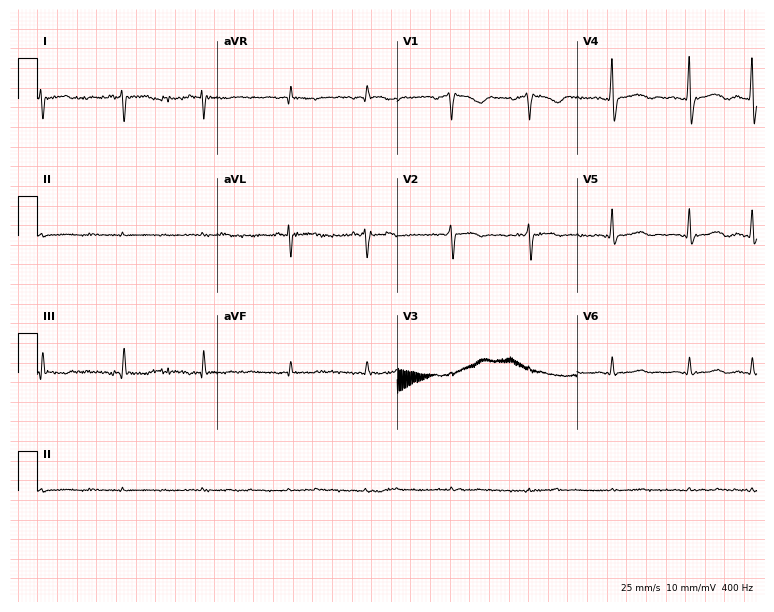
Resting 12-lead electrocardiogram (7.3-second recording at 400 Hz). Patient: a 72-year-old male. None of these six findings is recorded: first-degree AV block, right bundle branch block, left bundle branch block, sinus bradycardia, atrial fibrillation, sinus tachycardia. Other findings, if any, are not listed.